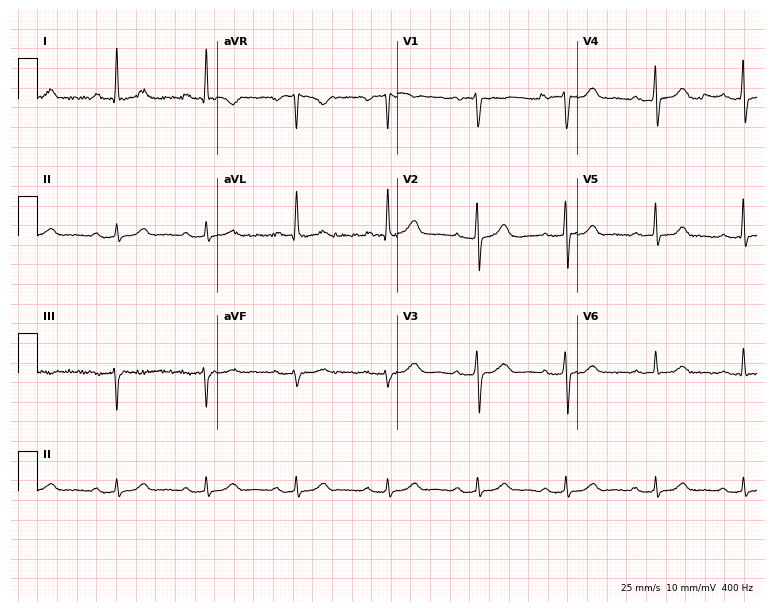
12-lead ECG (7.3-second recording at 400 Hz) from a female patient, 54 years old. Findings include first-degree AV block.